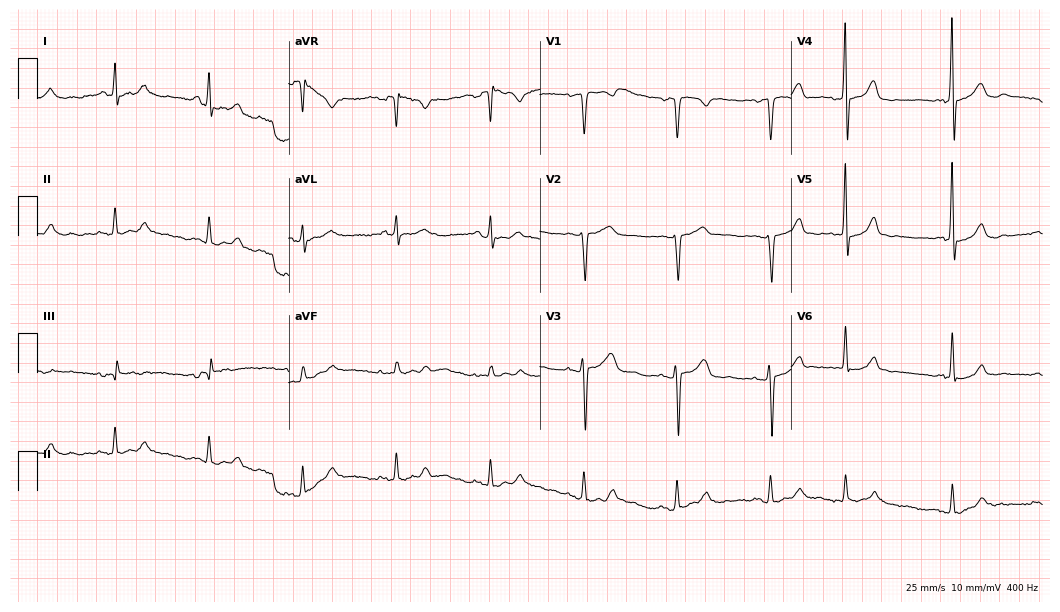
ECG — a man, 77 years old. Labelled as a normal ECG.